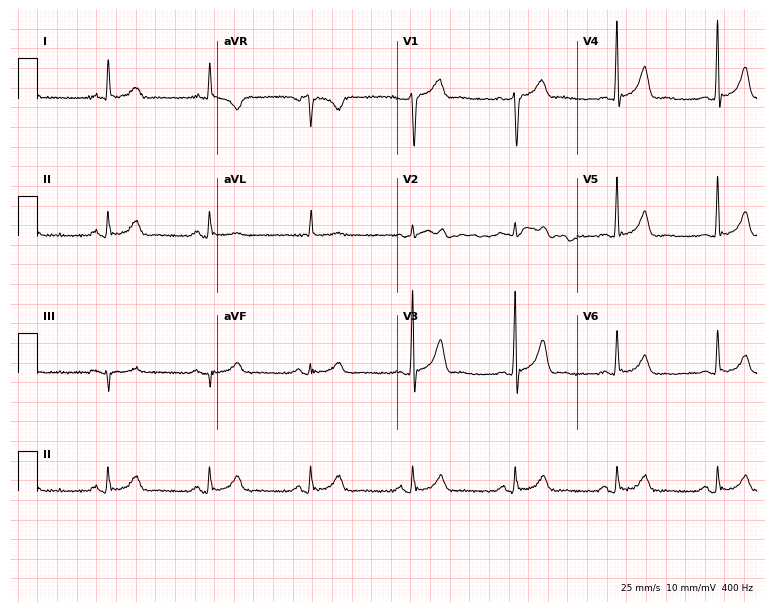
Resting 12-lead electrocardiogram (7.3-second recording at 400 Hz). Patient: a male, 64 years old. Read as a normal ECG.